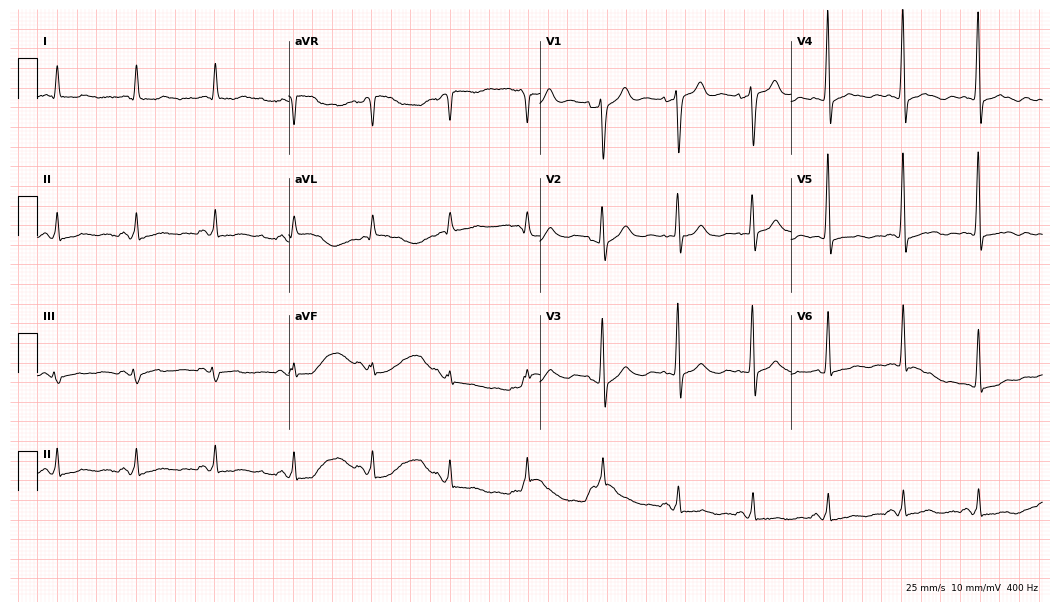
12-lead ECG (10.2-second recording at 400 Hz) from a male patient, 78 years old. Screened for six findings — first-degree AV block, right bundle branch block, left bundle branch block, sinus bradycardia, atrial fibrillation, sinus tachycardia — none is recorded.